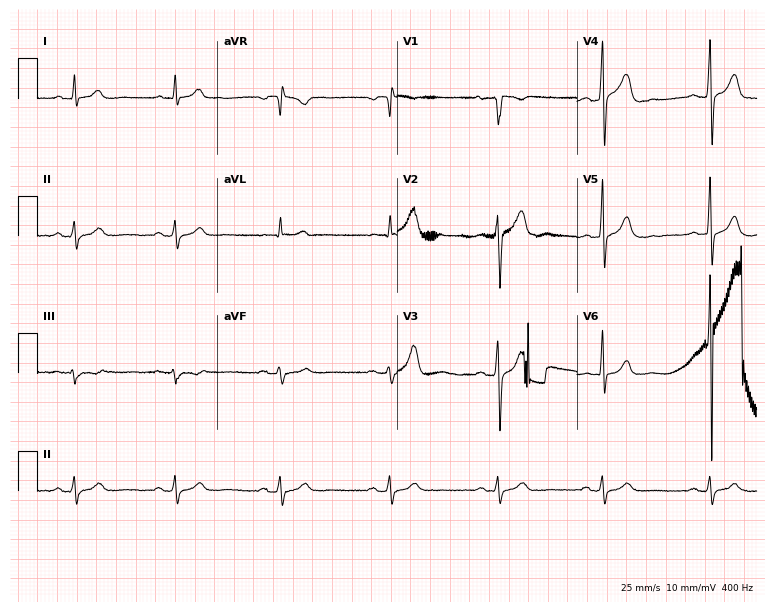
Electrocardiogram (7.3-second recording at 400 Hz), a male, 36 years old. Overall reading on record: normal ECG.